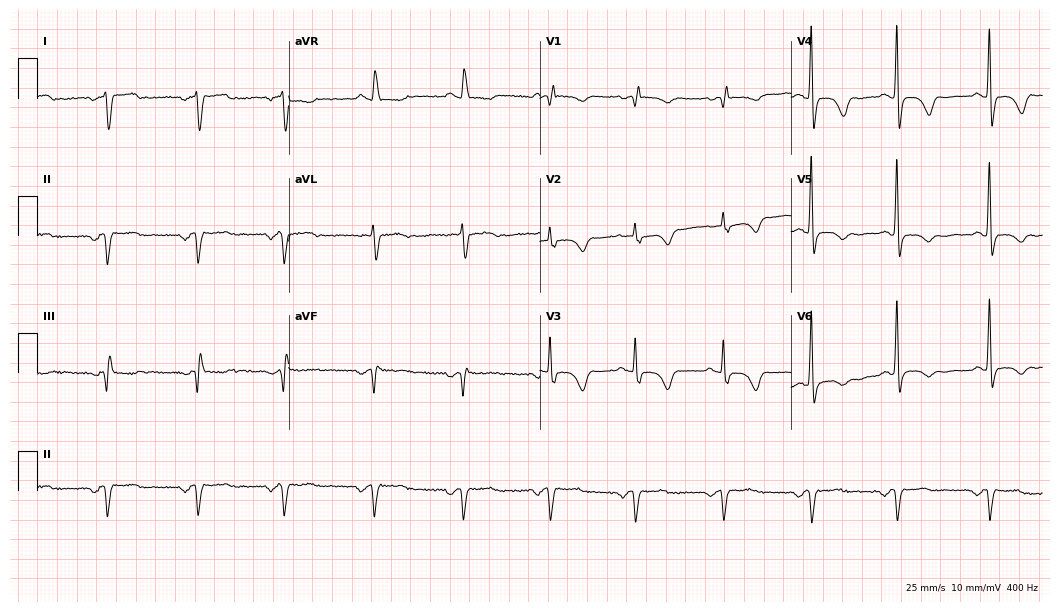
Resting 12-lead electrocardiogram (10.2-second recording at 400 Hz). Patient: a female, 69 years old. None of these six findings is recorded: first-degree AV block, right bundle branch block (RBBB), left bundle branch block (LBBB), sinus bradycardia, atrial fibrillation (AF), sinus tachycardia. Only these six findings were labelled.